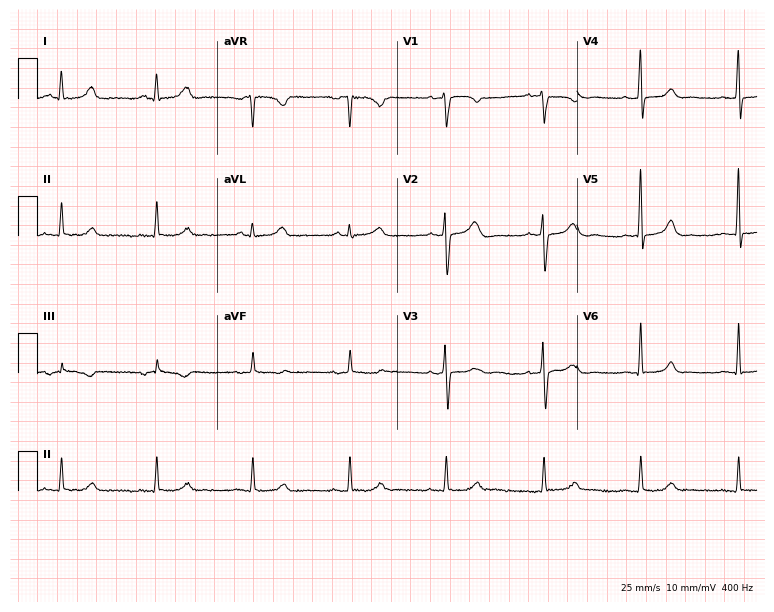
ECG (7.3-second recording at 400 Hz) — a woman, 45 years old. Labelled as a normal ECG.